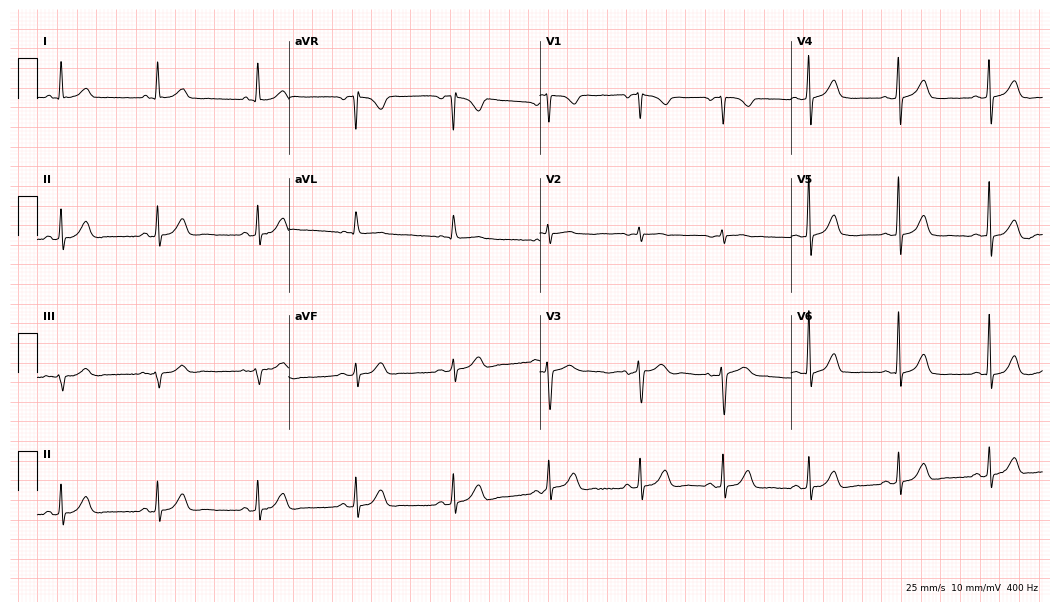
Standard 12-lead ECG recorded from a woman, 70 years old (10.2-second recording at 400 Hz). Read as a normal ECG.